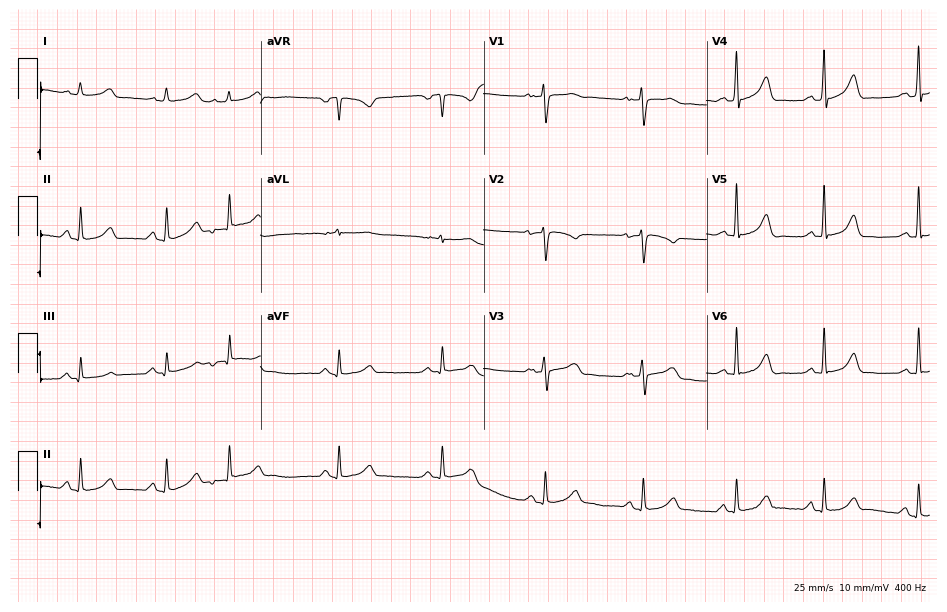
12-lead ECG from a 47-year-old woman. No first-degree AV block, right bundle branch block, left bundle branch block, sinus bradycardia, atrial fibrillation or sinus tachycardia recorded for this tracing.